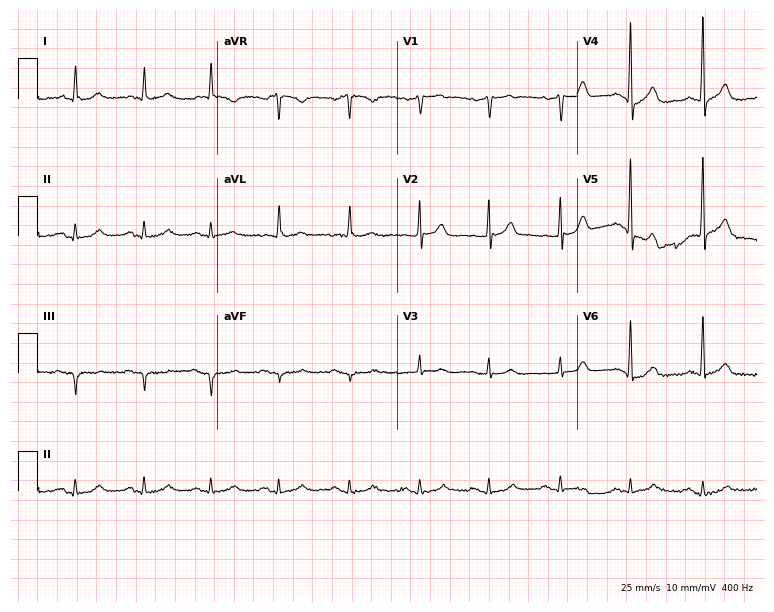
ECG (7.3-second recording at 400 Hz) — a man, 73 years old. Screened for six findings — first-degree AV block, right bundle branch block (RBBB), left bundle branch block (LBBB), sinus bradycardia, atrial fibrillation (AF), sinus tachycardia — none is recorded. Findings outside these six are not listed.